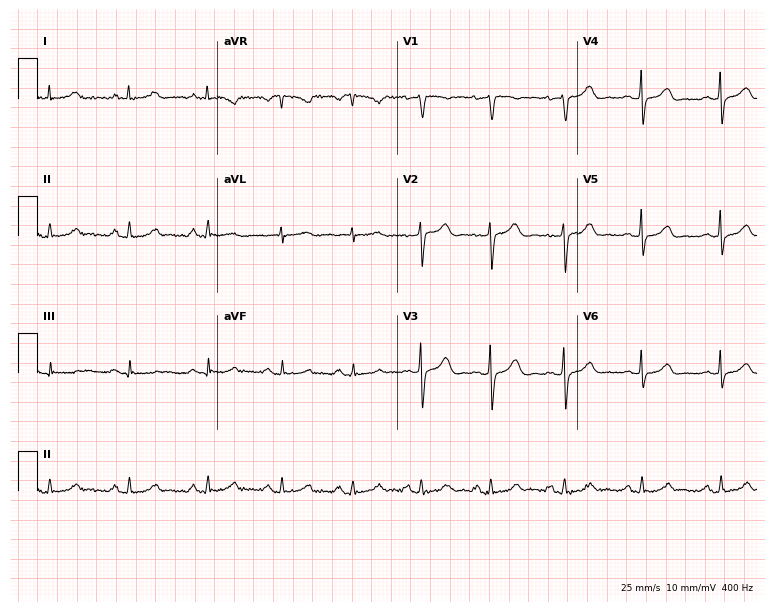
Resting 12-lead electrocardiogram (7.3-second recording at 400 Hz). Patient: a 38-year-old female. Read as a normal ECG.